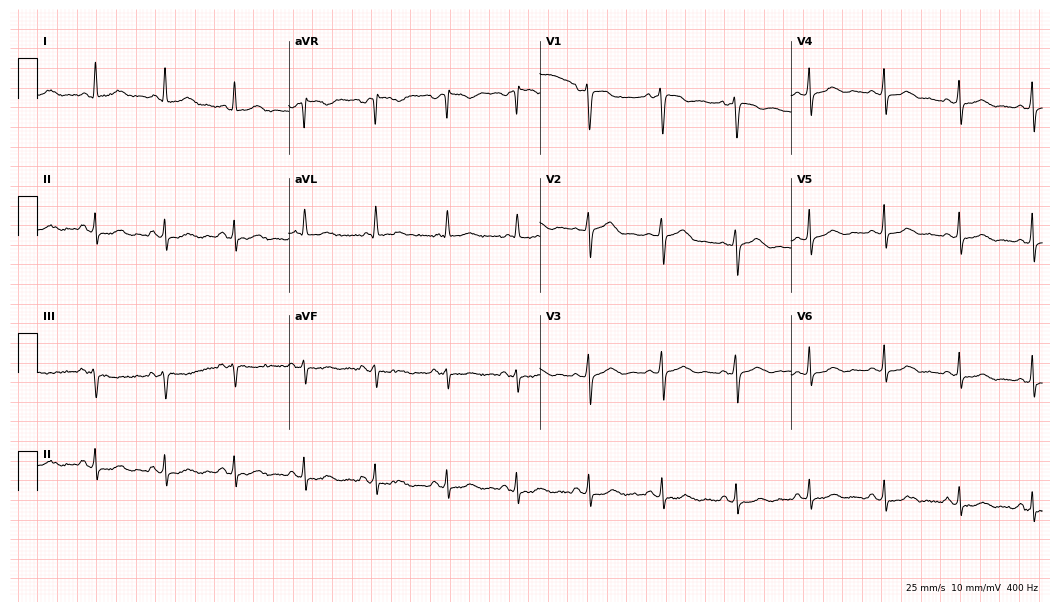
Resting 12-lead electrocardiogram. Patient: a woman, 61 years old. Read as a normal ECG.